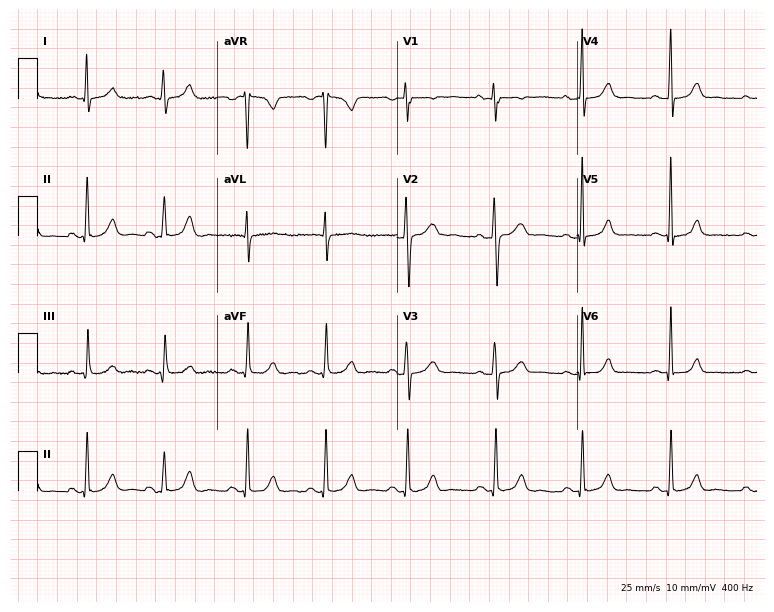
12-lead ECG from a woman, 31 years old. Screened for six findings — first-degree AV block, right bundle branch block, left bundle branch block, sinus bradycardia, atrial fibrillation, sinus tachycardia — none is recorded.